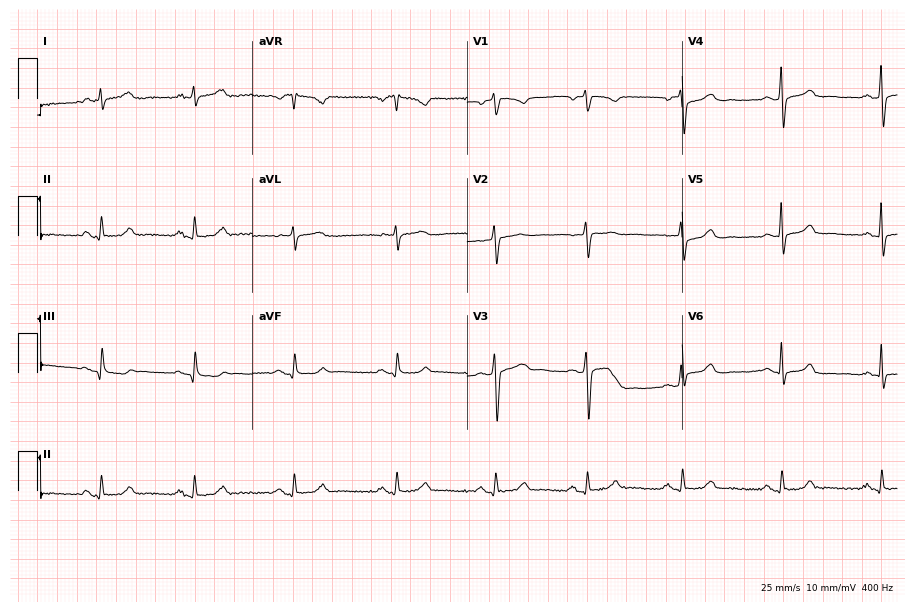
Resting 12-lead electrocardiogram. Patient: a female, 37 years old. Read as a normal ECG.